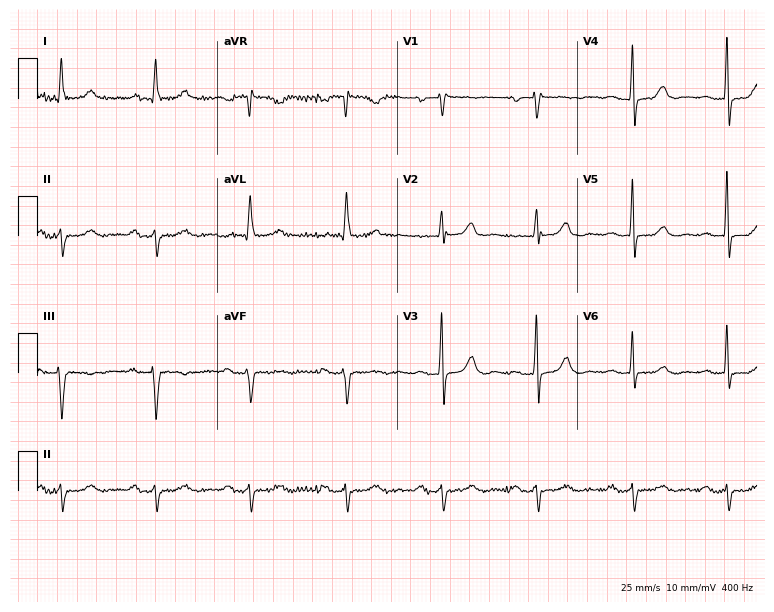
ECG — an 85-year-old man. Findings include first-degree AV block.